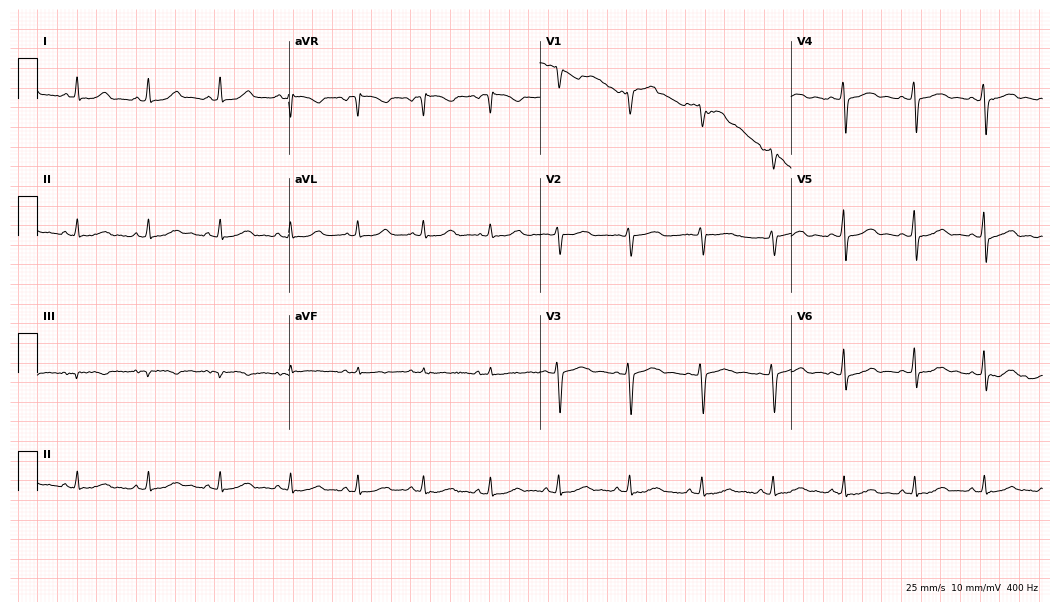
12-lead ECG from a 44-year-old woman (10.2-second recording at 400 Hz). Recorded interpretation: within normal limits.